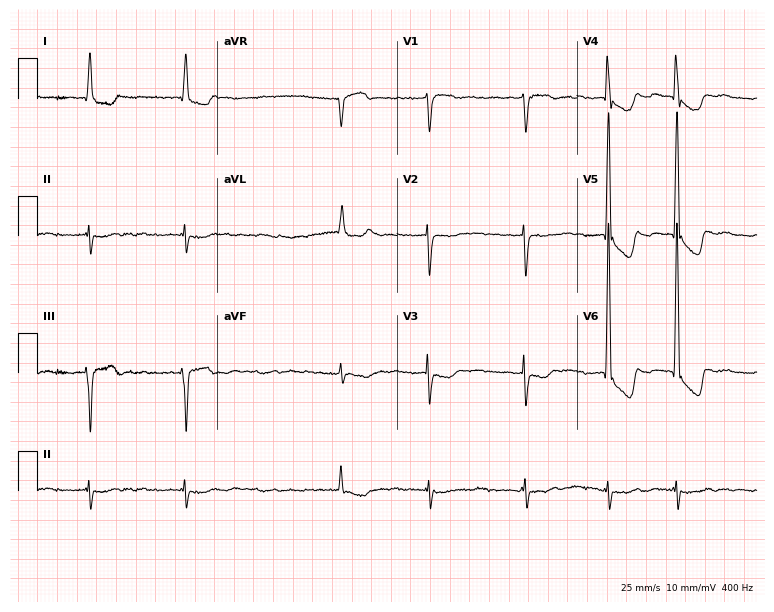
12-lead ECG (7.3-second recording at 400 Hz) from a female, 81 years old. Findings include atrial fibrillation.